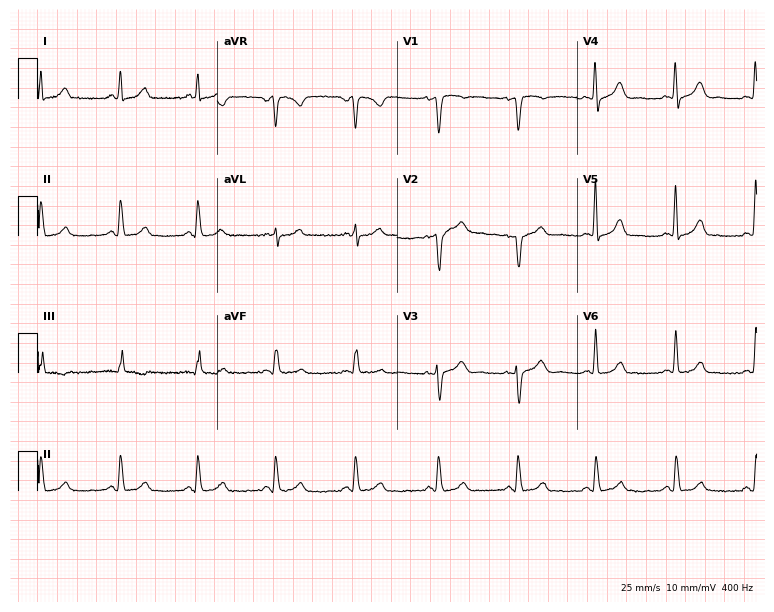
Standard 12-lead ECG recorded from a woman, 47 years old (7.3-second recording at 400 Hz). None of these six findings is recorded: first-degree AV block, right bundle branch block, left bundle branch block, sinus bradycardia, atrial fibrillation, sinus tachycardia.